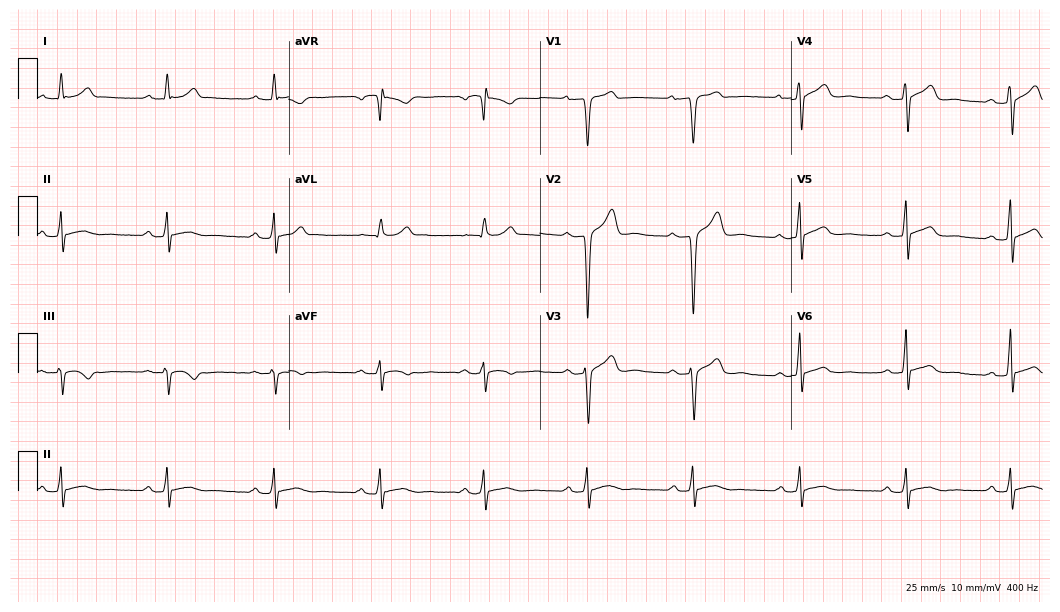
Resting 12-lead electrocardiogram. Patient: a 40-year-old male. None of these six findings is recorded: first-degree AV block, right bundle branch block, left bundle branch block, sinus bradycardia, atrial fibrillation, sinus tachycardia.